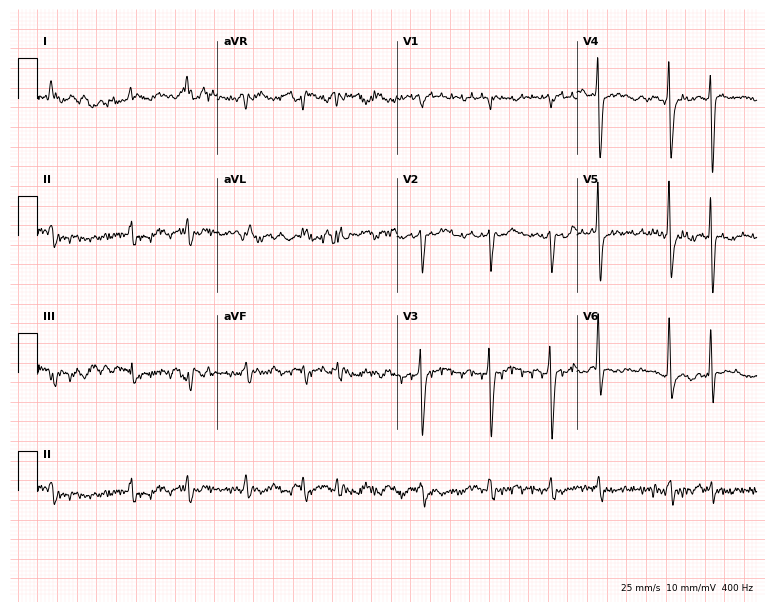
ECG — an 87-year-old male. Screened for six findings — first-degree AV block, right bundle branch block, left bundle branch block, sinus bradycardia, atrial fibrillation, sinus tachycardia — none is recorded.